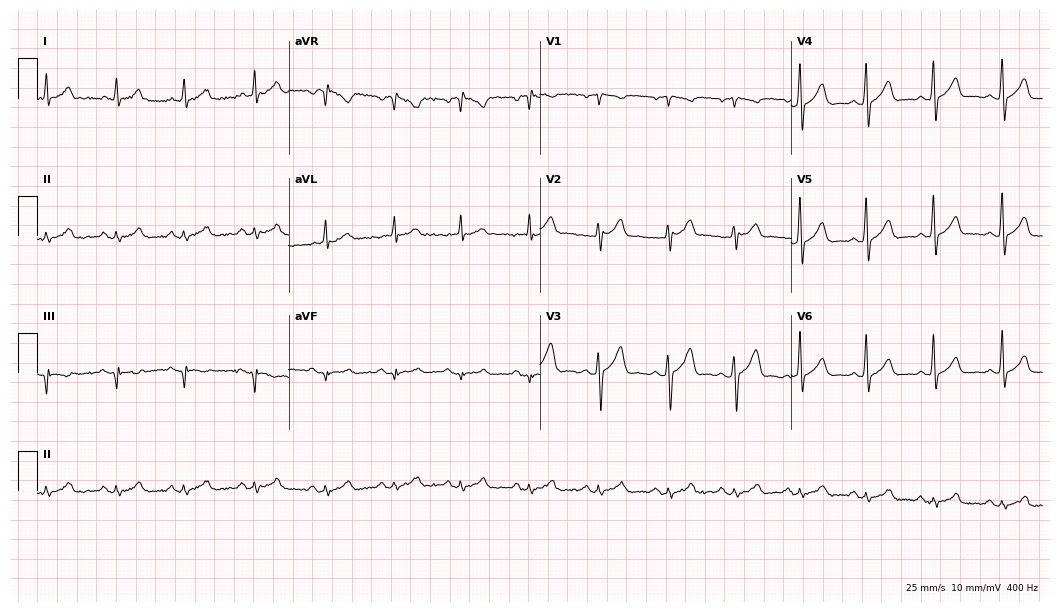
Standard 12-lead ECG recorded from a 48-year-old man (10.2-second recording at 400 Hz). None of these six findings is recorded: first-degree AV block, right bundle branch block, left bundle branch block, sinus bradycardia, atrial fibrillation, sinus tachycardia.